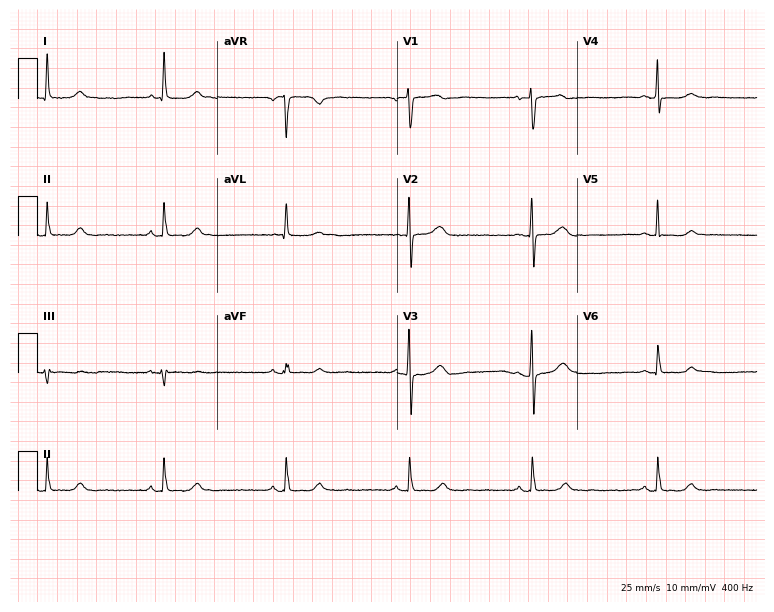
12-lead ECG from a woman, 45 years old. Findings include sinus bradycardia (a sinus rate of 50 beats per minute or less).